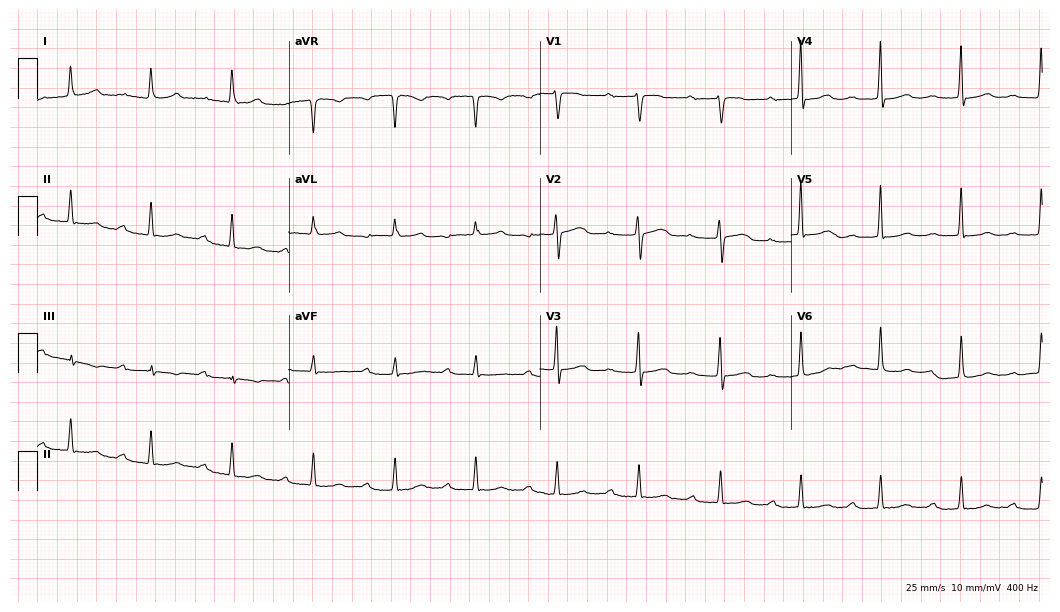
Resting 12-lead electrocardiogram (10.2-second recording at 400 Hz). Patient: a 64-year-old female. None of these six findings is recorded: first-degree AV block, right bundle branch block, left bundle branch block, sinus bradycardia, atrial fibrillation, sinus tachycardia.